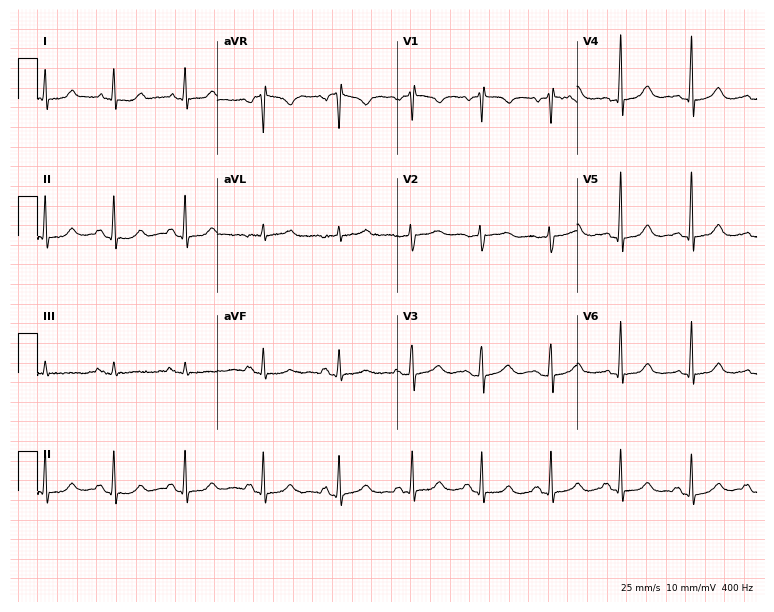
ECG (7.3-second recording at 400 Hz) — a female patient, 65 years old. Screened for six findings — first-degree AV block, right bundle branch block, left bundle branch block, sinus bradycardia, atrial fibrillation, sinus tachycardia — none is recorded. Other findings, if any, are not listed.